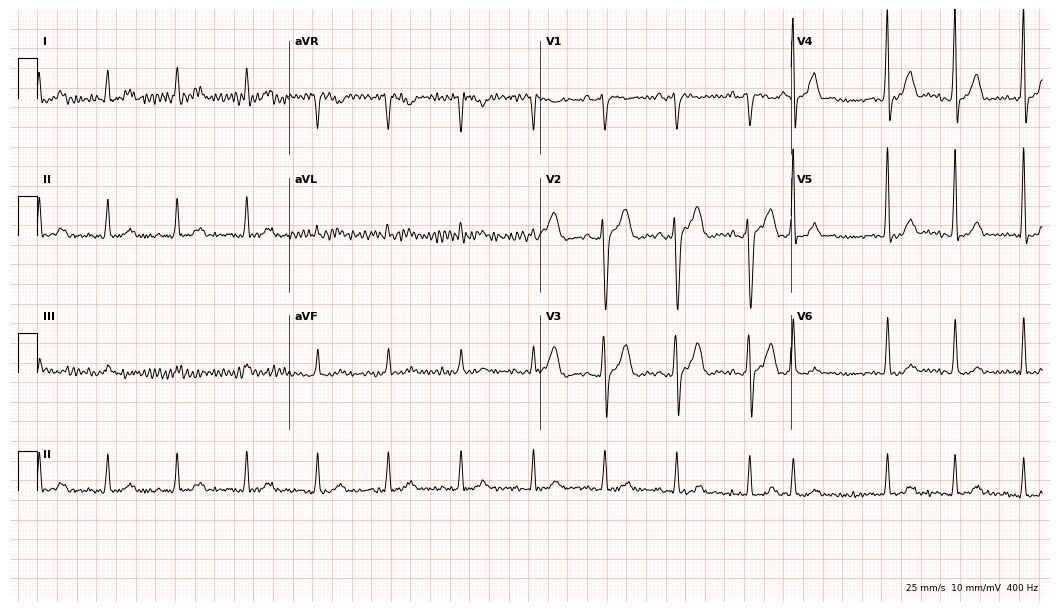
ECG (10.2-second recording at 400 Hz) — a 71-year-old male. Screened for six findings — first-degree AV block, right bundle branch block, left bundle branch block, sinus bradycardia, atrial fibrillation, sinus tachycardia — none is recorded. Only these six findings were labelled.